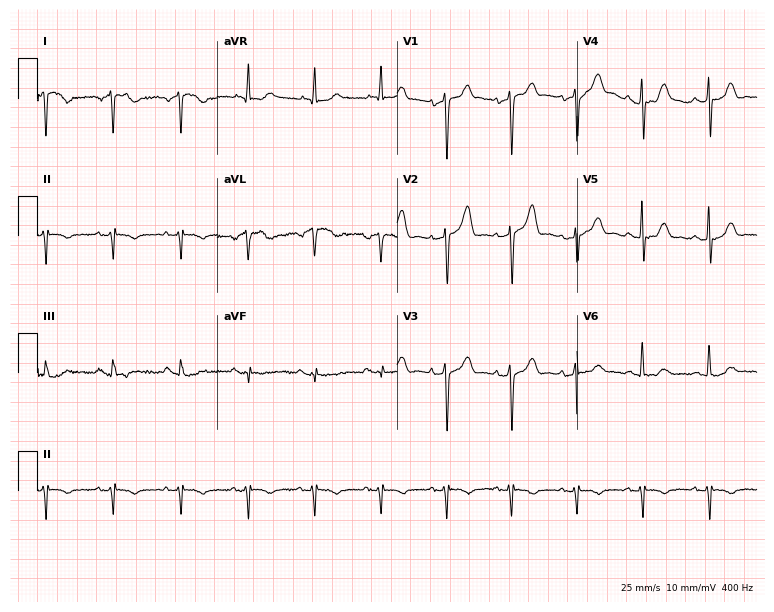
Standard 12-lead ECG recorded from a male, 47 years old (7.3-second recording at 400 Hz). None of these six findings is recorded: first-degree AV block, right bundle branch block, left bundle branch block, sinus bradycardia, atrial fibrillation, sinus tachycardia. Only these six findings were labelled.